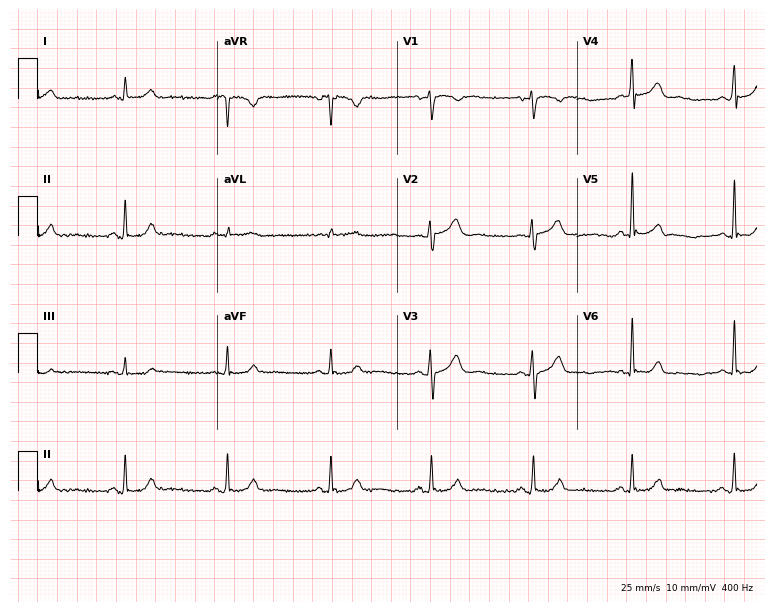
ECG (7.3-second recording at 400 Hz) — a 56-year-old female patient. Labelled as a normal ECG.